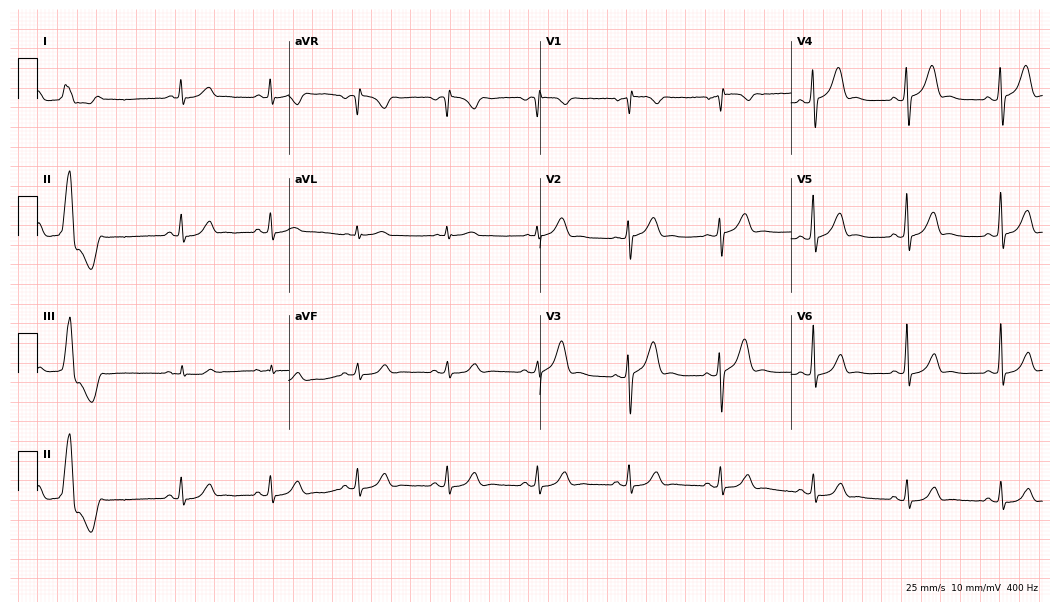
12-lead ECG from a male patient, 57 years old. Screened for six findings — first-degree AV block, right bundle branch block, left bundle branch block, sinus bradycardia, atrial fibrillation, sinus tachycardia — none is recorded.